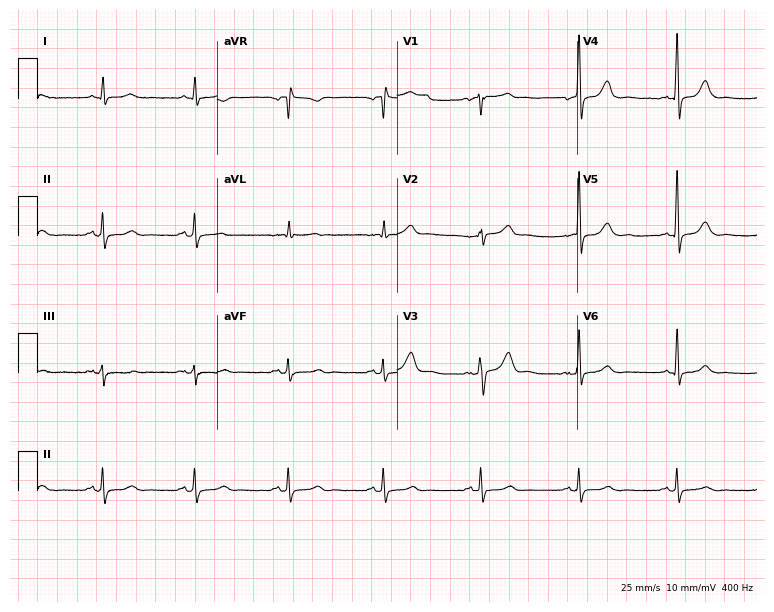
12-lead ECG from a 70-year-old male. Labelled as a normal ECG.